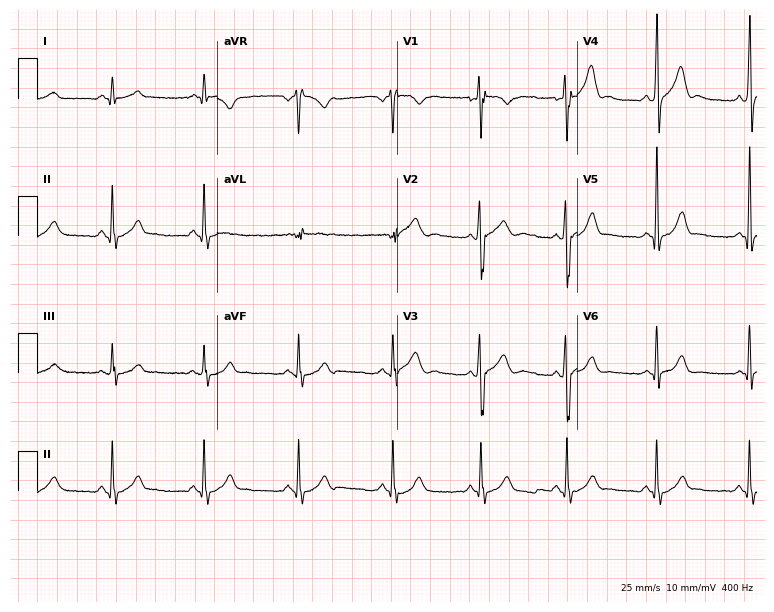
Electrocardiogram, a male patient, 26 years old. Overall reading on record: normal ECG.